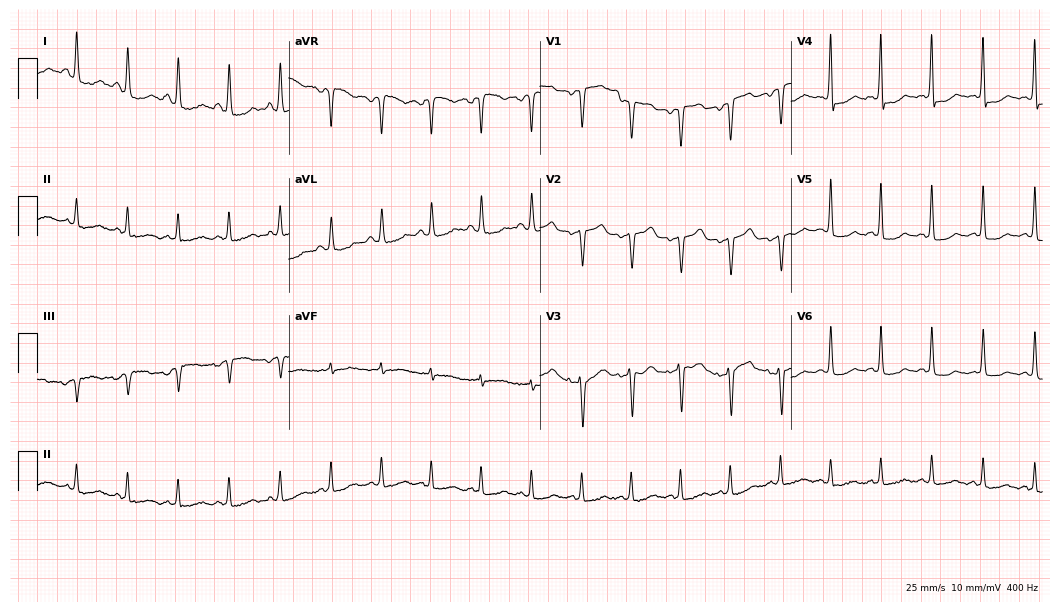
ECG (10.2-second recording at 400 Hz) — a 58-year-old woman. Findings include sinus tachycardia (a sinus rate of 100 beats per minute or more).